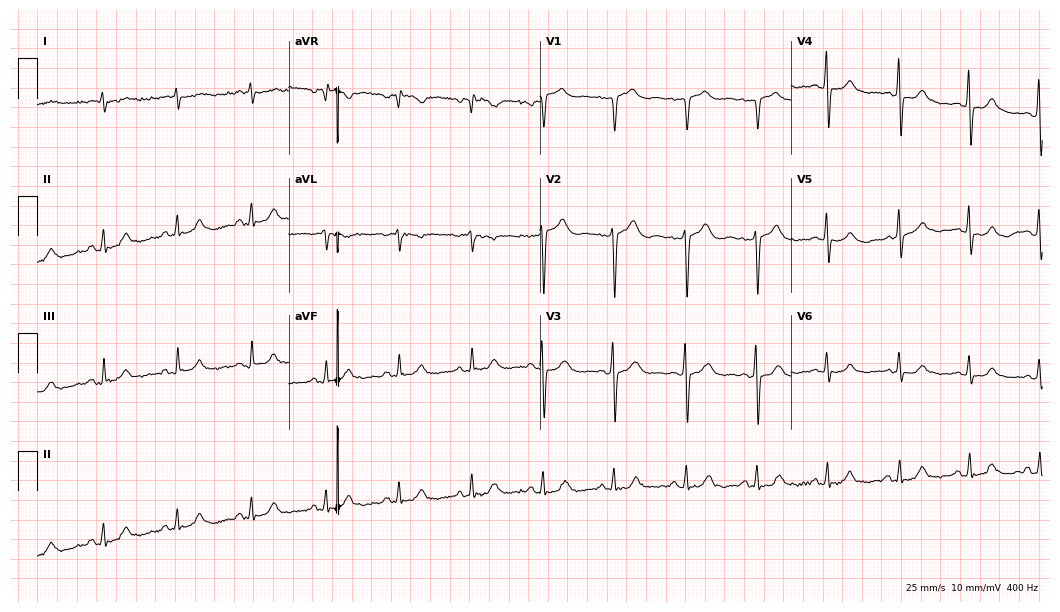
12-lead ECG from a man, 60 years old. No first-degree AV block, right bundle branch block (RBBB), left bundle branch block (LBBB), sinus bradycardia, atrial fibrillation (AF) or sinus tachycardia recorded for this tracing. Other findings, if any, are not listed.